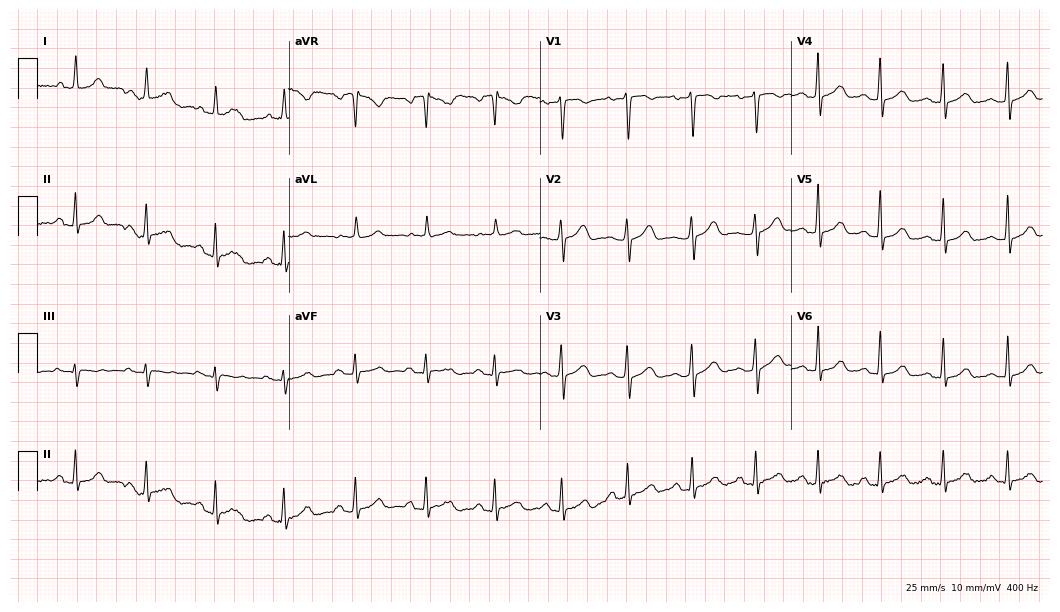
12-lead ECG (10.2-second recording at 400 Hz) from a 51-year-old female patient. Screened for six findings — first-degree AV block, right bundle branch block, left bundle branch block, sinus bradycardia, atrial fibrillation, sinus tachycardia — none is recorded.